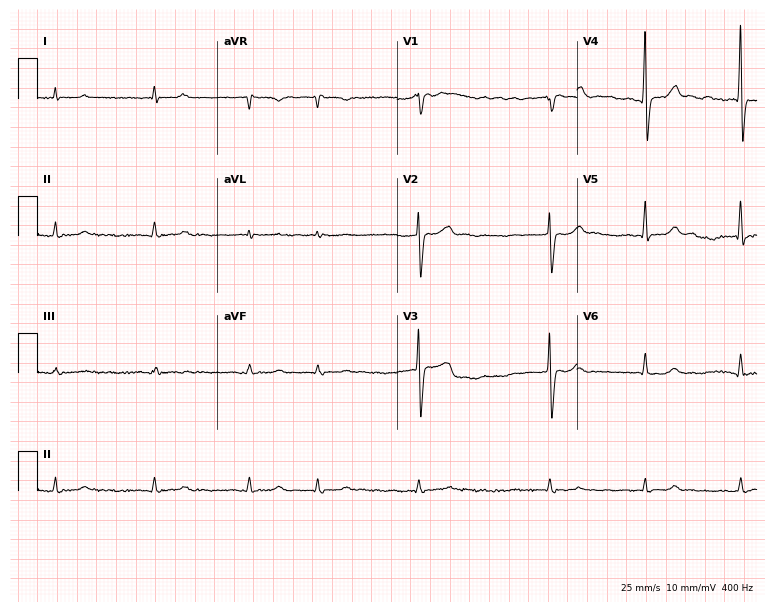
Resting 12-lead electrocardiogram. Patient: an 80-year-old male. The tracing shows atrial fibrillation.